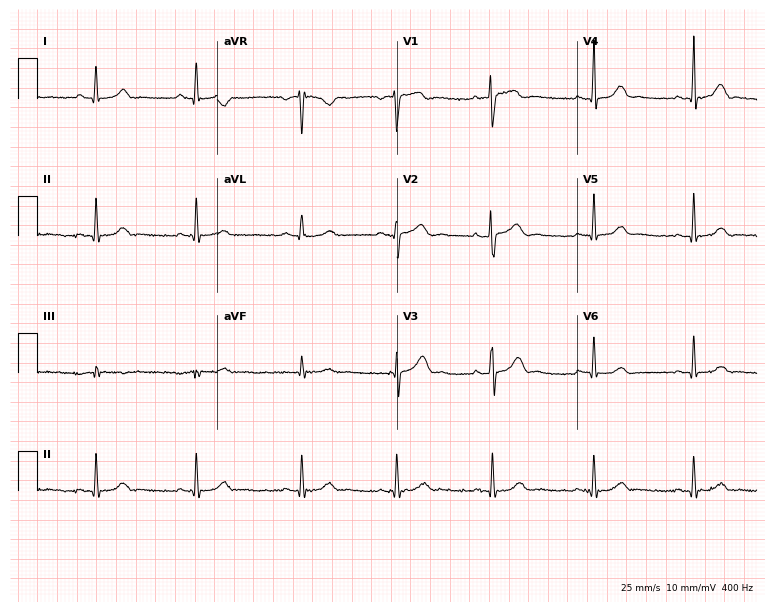
12-lead ECG from a 35-year-old female patient (7.3-second recording at 400 Hz). No first-degree AV block, right bundle branch block, left bundle branch block, sinus bradycardia, atrial fibrillation or sinus tachycardia recorded for this tracing.